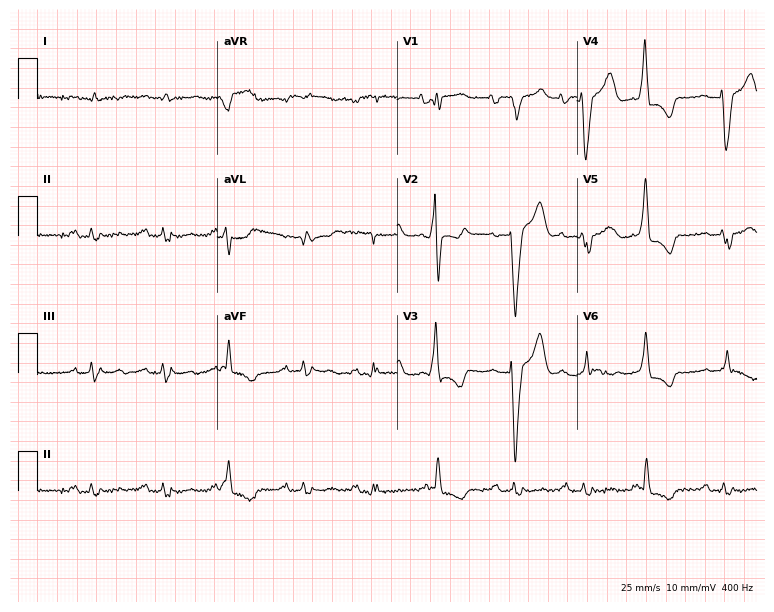
Standard 12-lead ECG recorded from a 69-year-old male patient. The tracing shows left bundle branch block (LBBB).